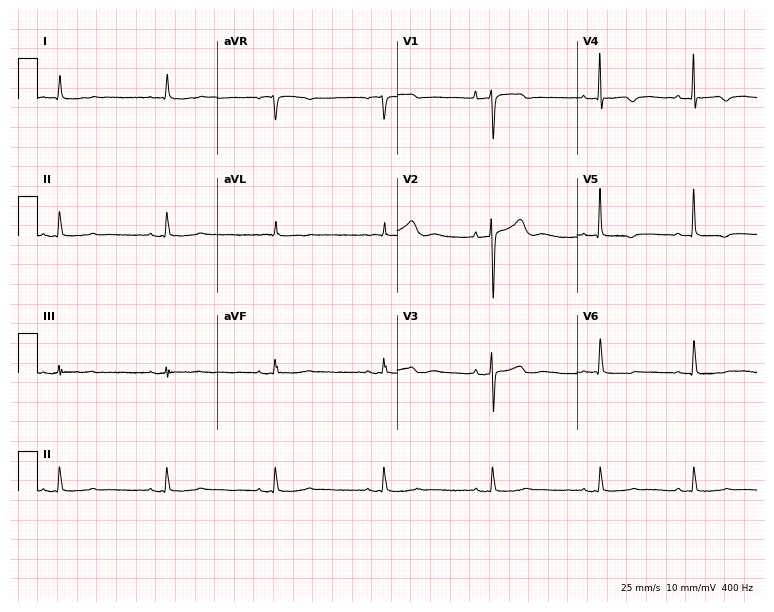
Standard 12-lead ECG recorded from an 81-year-old female patient (7.3-second recording at 400 Hz). None of these six findings is recorded: first-degree AV block, right bundle branch block (RBBB), left bundle branch block (LBBB), sinus bradycardia, atrial fibrillation (AF), sinus tachycardia. Other findings, if any, are not listed.